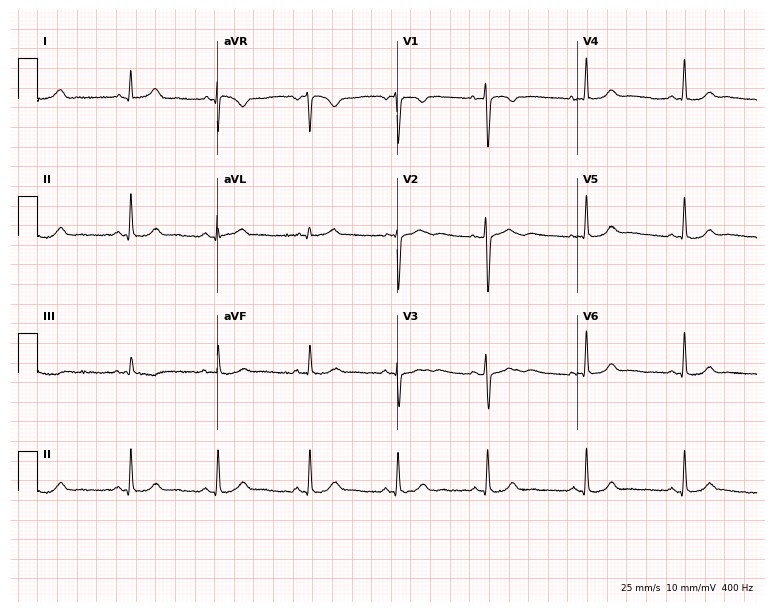
ECG — a female, 25 years old. Labelled as a normal ECG.